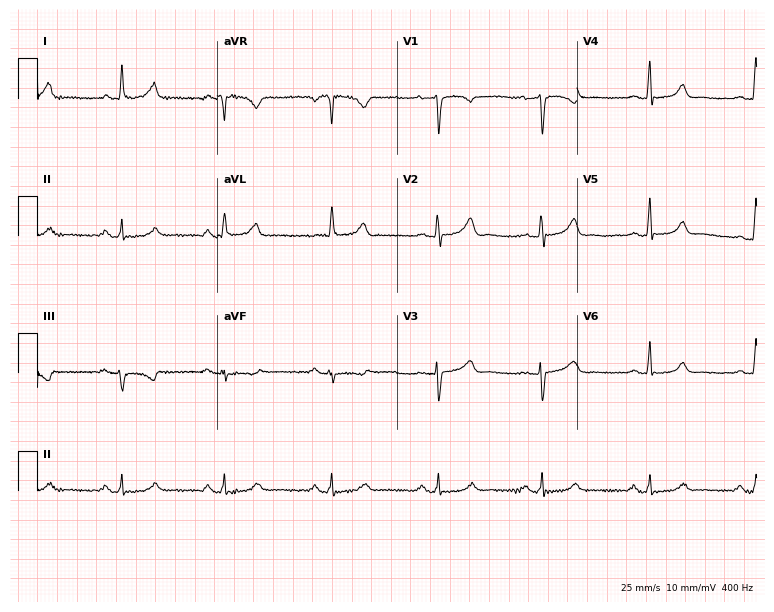
Standard 12-lead ECG recorded from a female patient, 51 years old (7.3-second recording at 400 Hz). Read as a normal ECG.